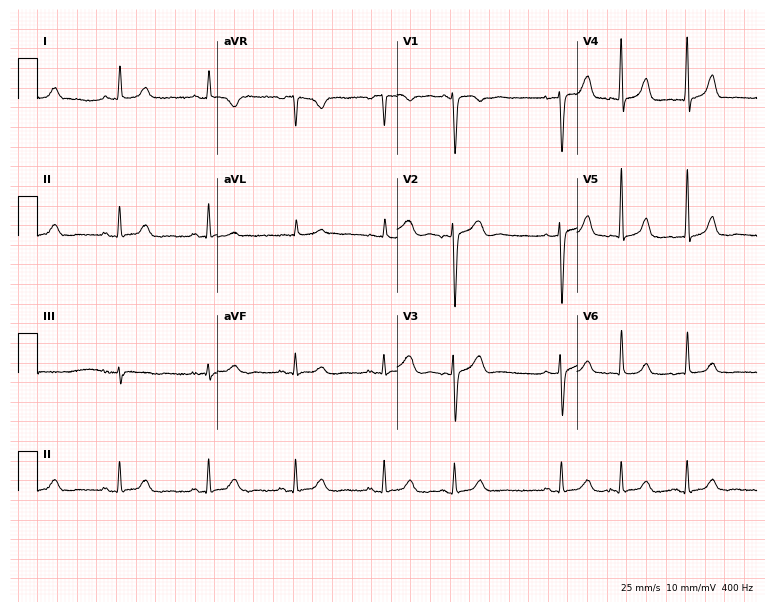
Resting 12-lead electrocardiogram. Patient: a female, 64 years old. None of these six findings is recorded: first-degree AV block, right bundle branch block, left bundle branch block, sinus bradycardia, atrial fibrillation, sinus tachycardia.